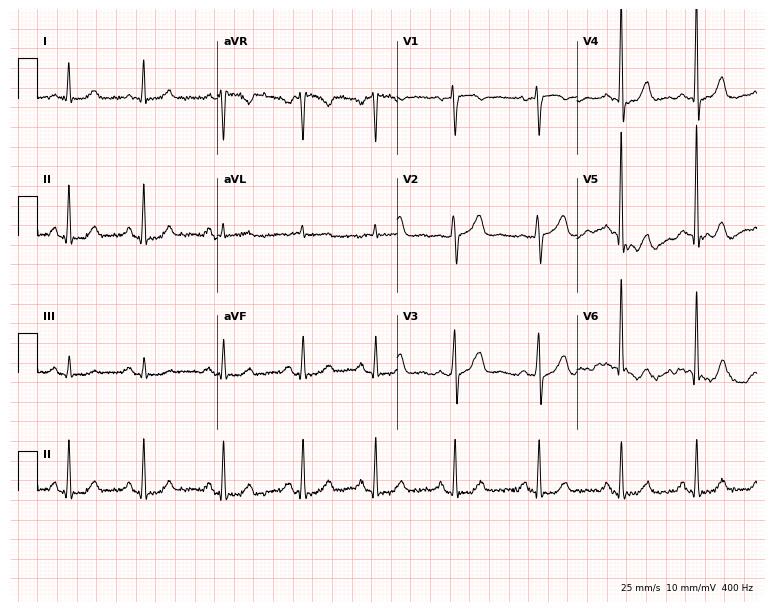
12-lead ECG from a 49-year-old woman. Recorded interpretation: within normal limits.